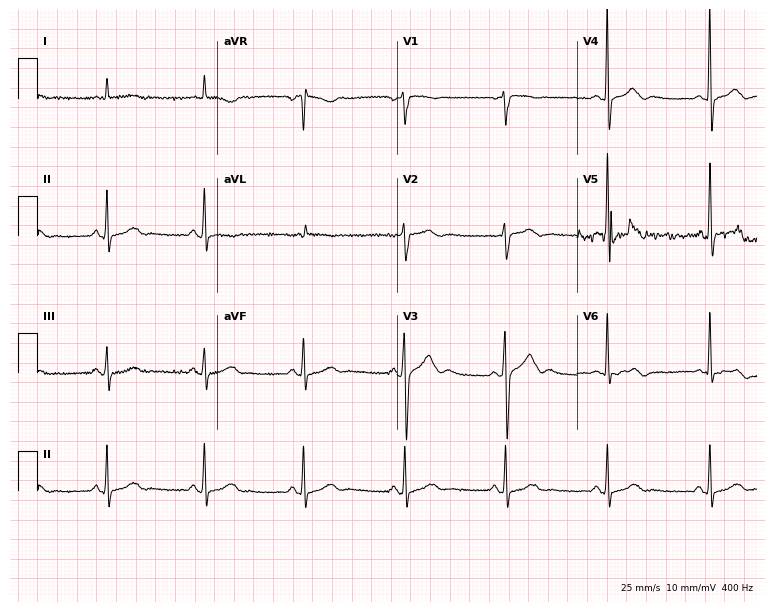
Standard 12-lead ECG recorded from a 76-year-old man (7.3-second recording at 400 Hz). Read as a normal ECG.